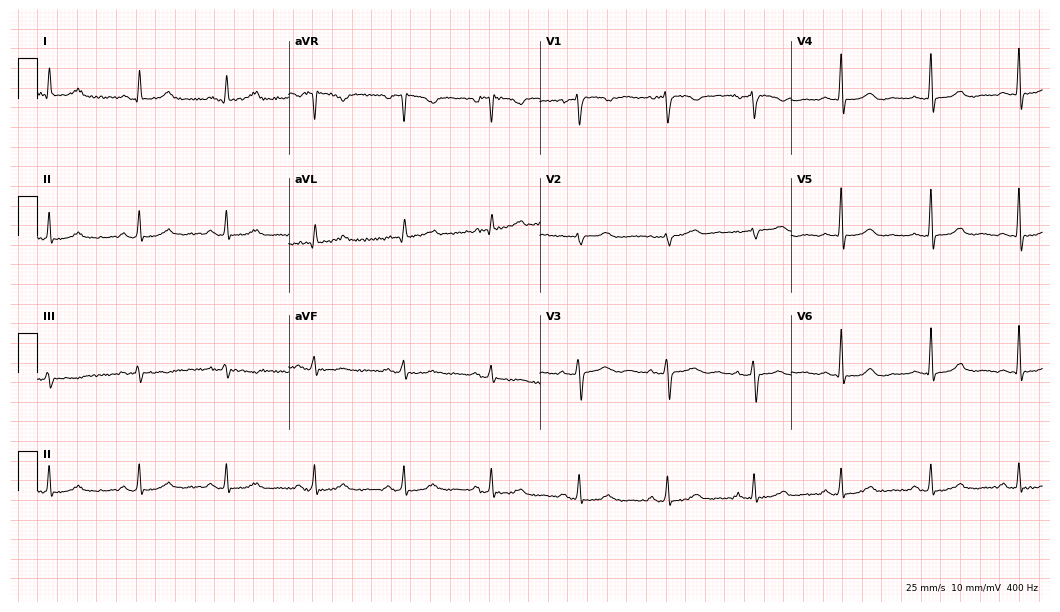
Resting 12-lead electrocardiogram. Patient: a 50-year-old woman. Read as a normal ECG.